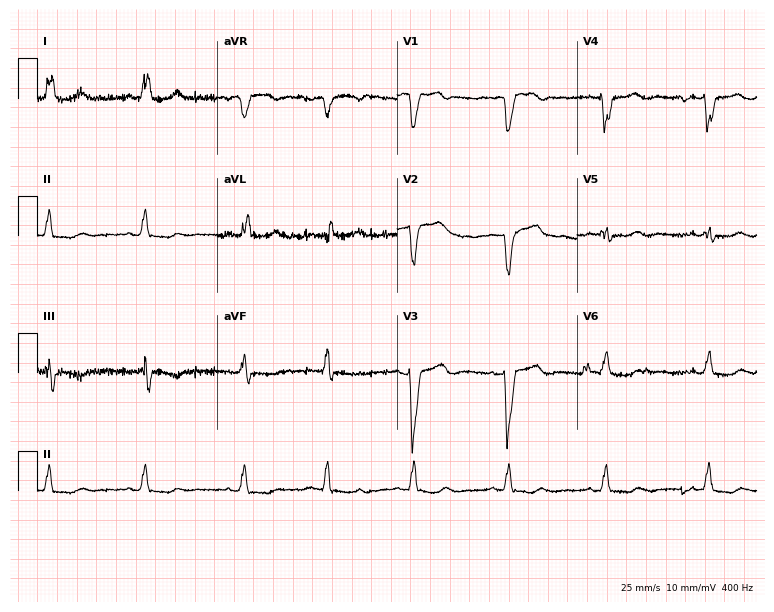
Standard 12-lead ECG recorded from a woman, 54 years old (7.3-second recording at 400 Hz). None of these six findings is recorded: first-degree AV block, right bundle branch block, left bundle branch block, sinus bradycardia, atrial fibrillation, sinus tachycardia.